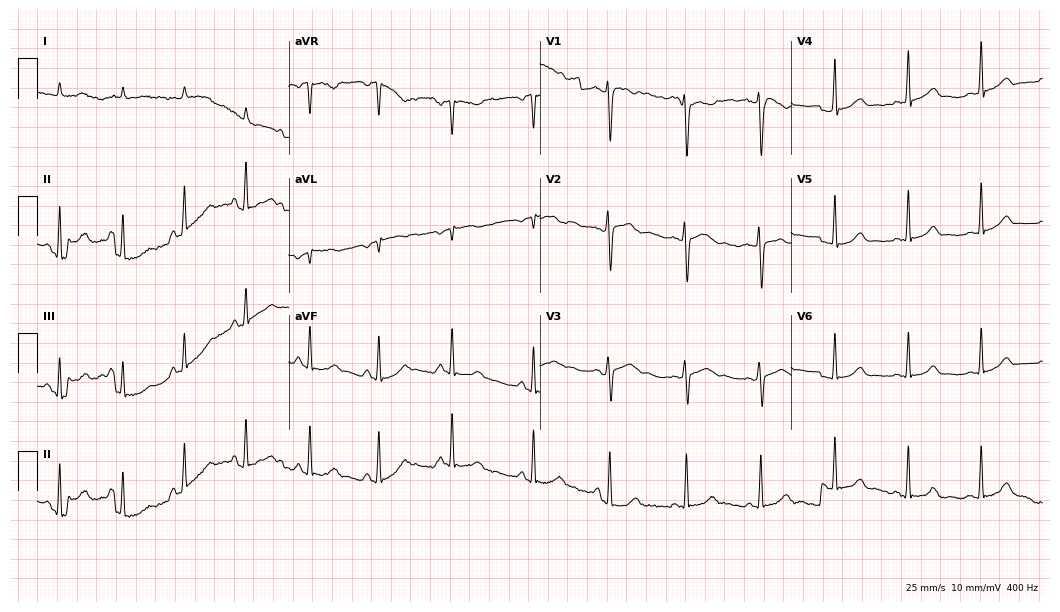
ECG — a female, 37 years old. Labelled as a normal ECG.